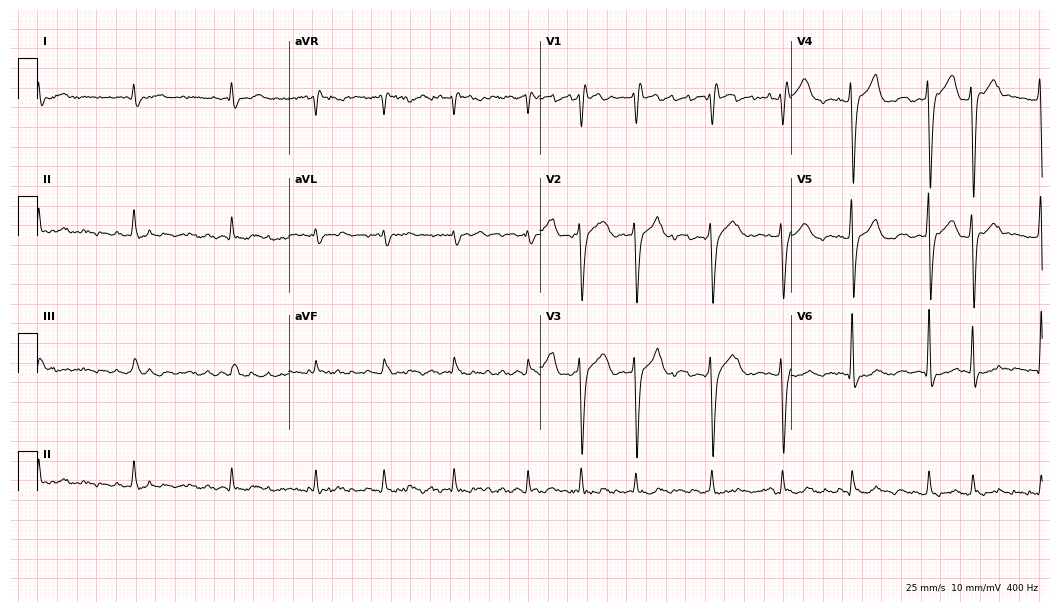
ECG (10.2-second recording at 400 Hz) — a male patient, 81 years old. Findings include right bundle branch block (RBBB), atrial fibrillation (AF).